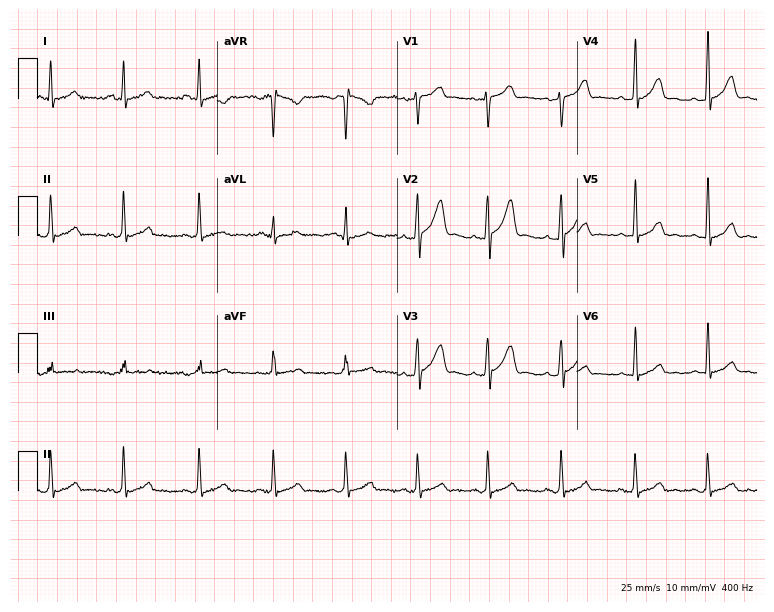
12-lead ECG (7.3-second recording at 400 Hz) from a male patient, 25 years old. Labelled as a normal ECG.